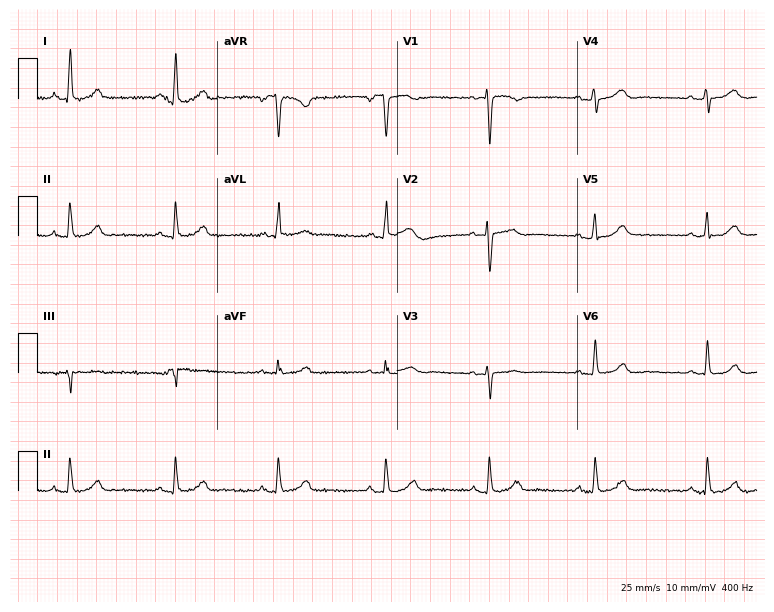
Electrocardiogram, a woman, 45 years old. Overall reading on record: normal ECG.